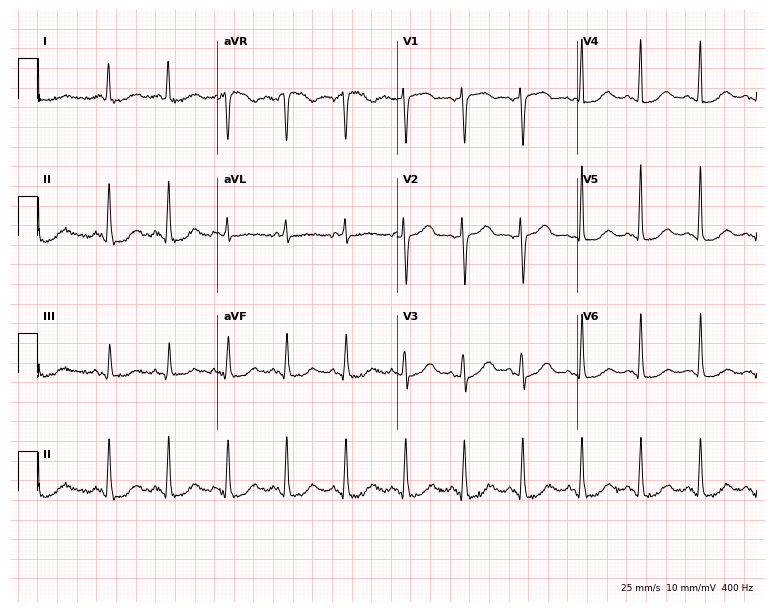
12-lead ECG from a female patient, 81 years old. Screened for six findings — first-degree AV block, right bundle branch block, left bundle branch block, sinus bradycardia, atrial fibrillation, sinus tachycardia — none is recorded.